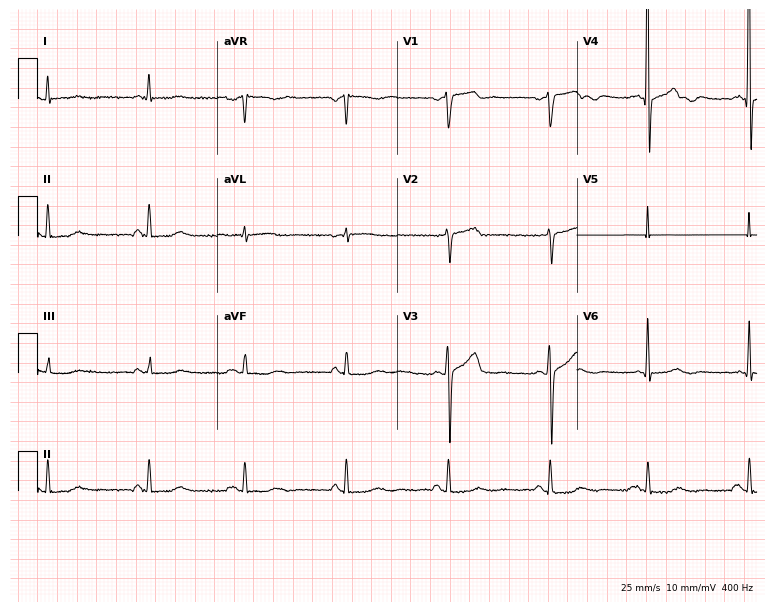
12-lead ECG from a male, 66 years old. No first-degree AV block, right bundle branch block, left bundle branch block, sinus bradycardia, atrial fibrillation or sinus tachycardia recorded for this tracing. Findings outside these six are not listed.